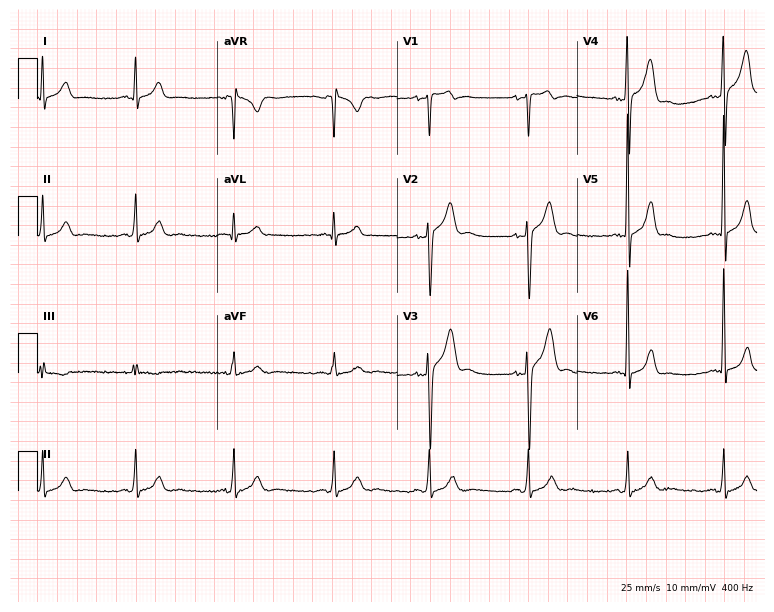
12-lead ECG from a man, 25 years old. No first-degree AV block, right bundle branch block (RBBB), left bundle branch block (LBBB), sinus bradycardia, atrial fibrillation (AF) or sinus tachycardia recorded for this tracing. Other findings, if any, are not listed.